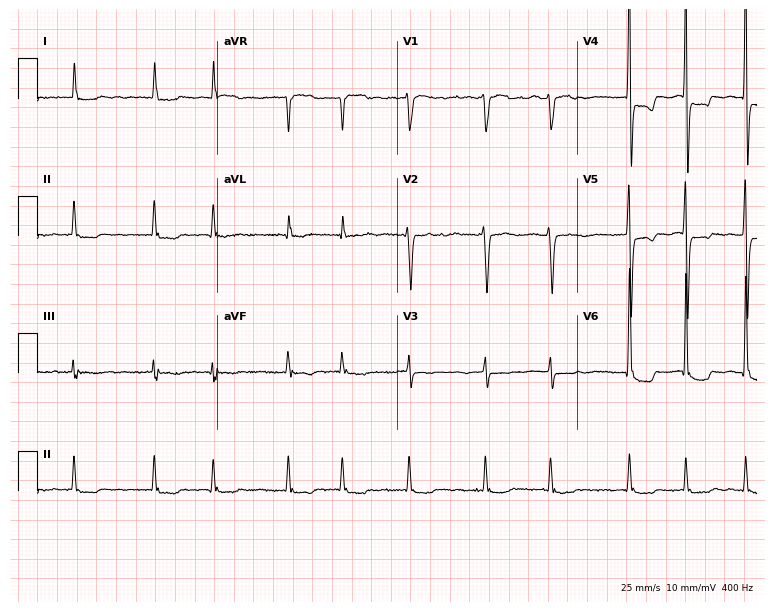
Standard 12-lead ECG recorded from an 80-year-old woman (7.3-second recording at 400 Hz). The tracing shows atrial fibrillation (AF).